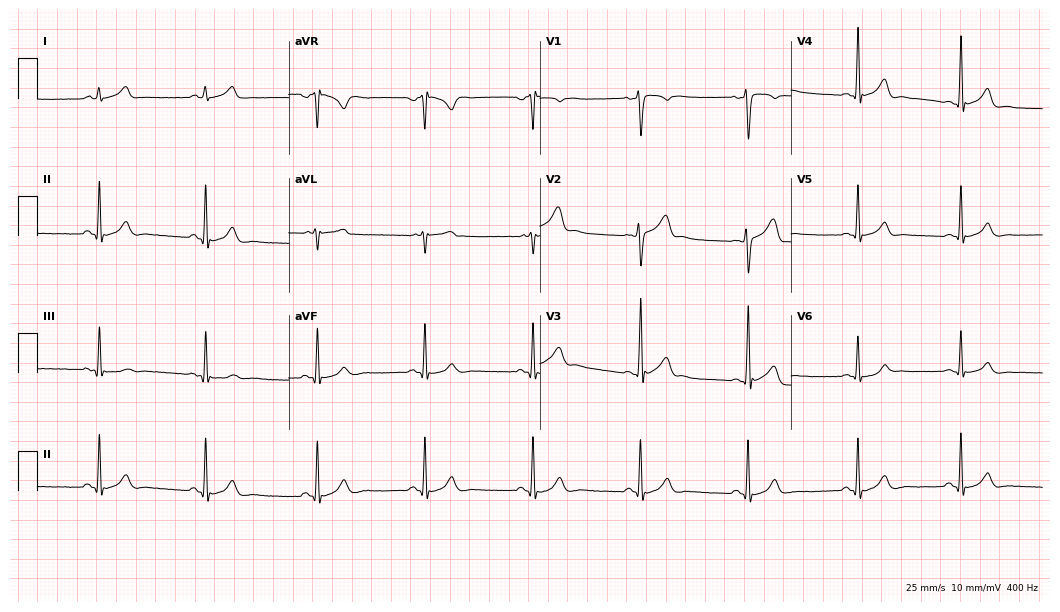
ECG (10.2-second recording at 400 Hz) — a man, 30 years old. Labelled as a normal ECG.